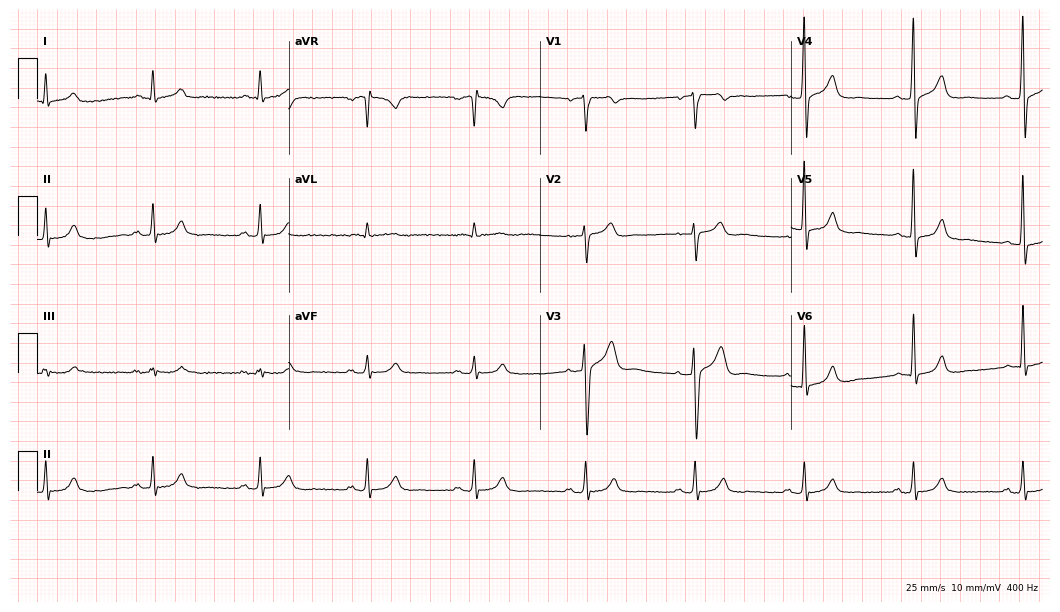
ECG (10.2-second recording at 400 Hz) — a 37-year-old man. Screened for six findings — first-degree AV block, right bundle branch block, left bundle branch block, sinus bradycardia, atrial fibrillation, sinus tachycardia — none is recorded. Findings outside these six are not listed.